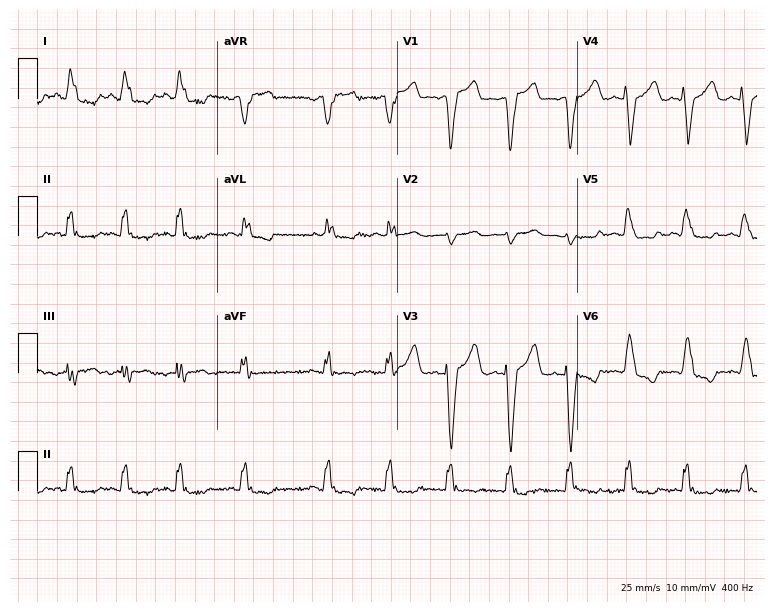
ECG — a female patient, 69 years old. Findings include left bundle branch block.